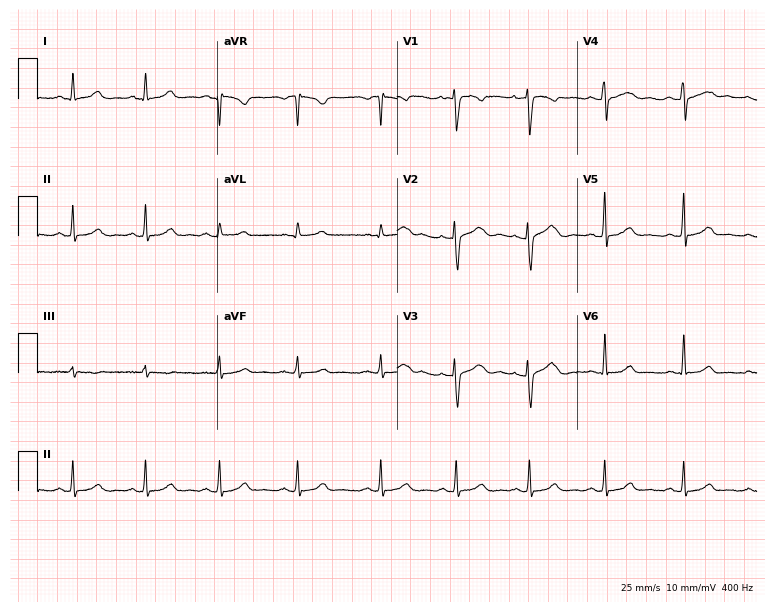
Resting 12-lead electrocardiogram. Patient: a 30-year-old female. None of these six findings is recorded: first-degree AV block, right bundle branch block (RBBB), left bundle branch block (LBBB), sinus bradycardia, atrial fibrillation (AF), sinus tachycardia. Only these six findings were labelled.